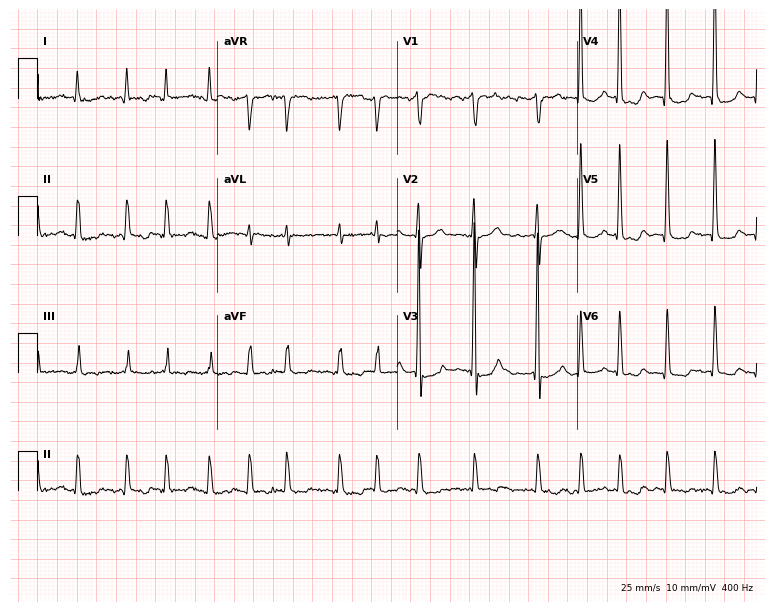
Electrocardiogram (7.3-second recording at 400 Hz), a male, 75 years old. Interpretation includes atrial fibrillation.